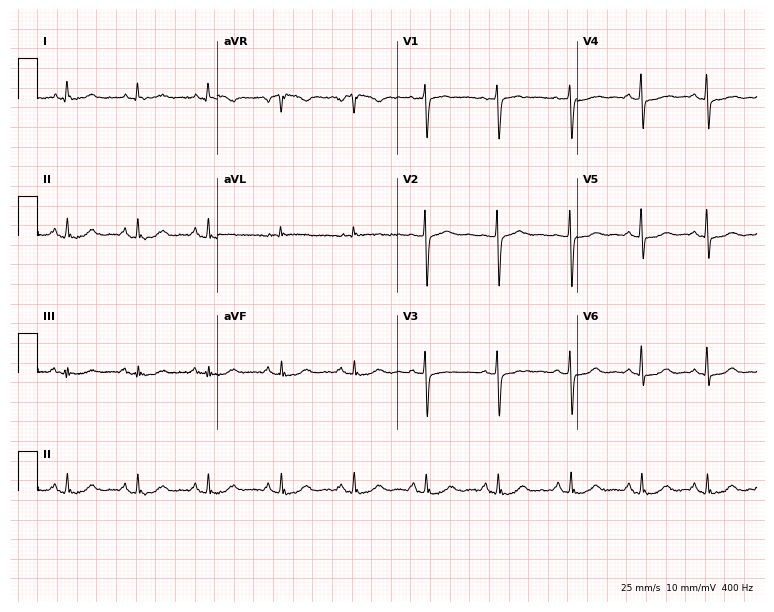
Electrocardiogram, a 67-year-old woman. Of the six screened findings (first-degree AV block, right bundle branch block, left bundle branch block, sinus bradycardia, atrial fibrillation, sinus tachycardia), none is recorded.